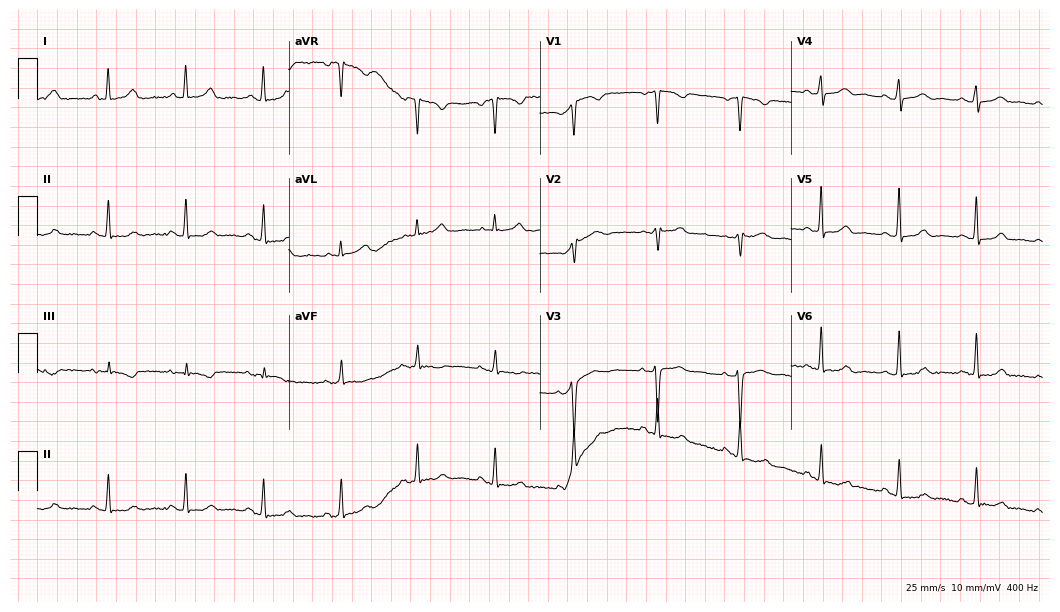
Resting 12-lead electrocardiogram. Patient: a female, 43 years old. Read as a normal ECG.